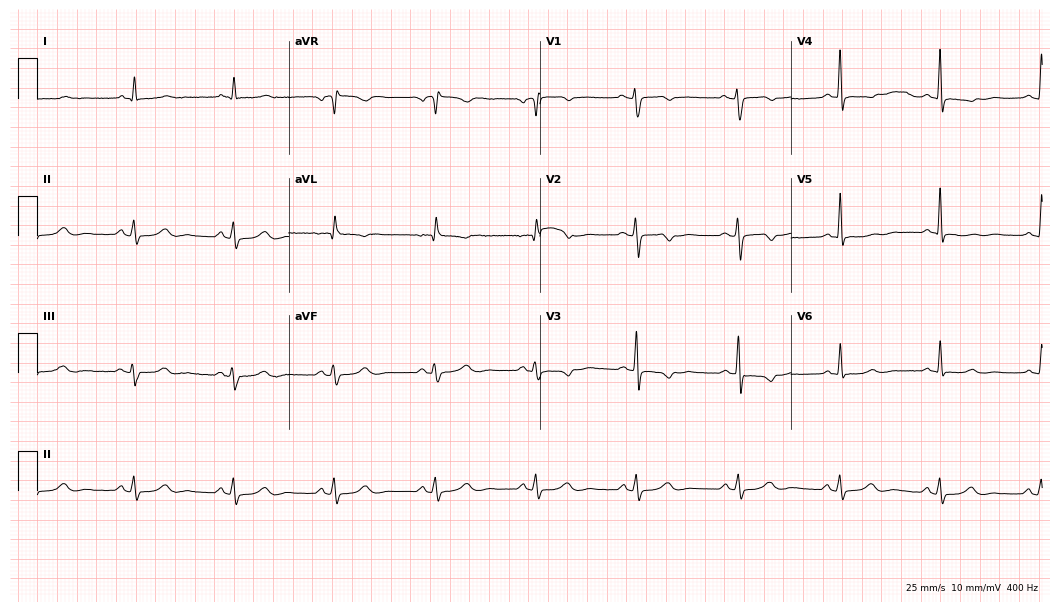
Standard 12-lead ECG recorded from a 61-year-old woman (10.2-second recording at 400 Hz). None of these six findings is recorded: first-degree AV block, right bundle branch block, left bundle branch block, sinus bradycardia, atrial fibrillation, sinus tachycardia.